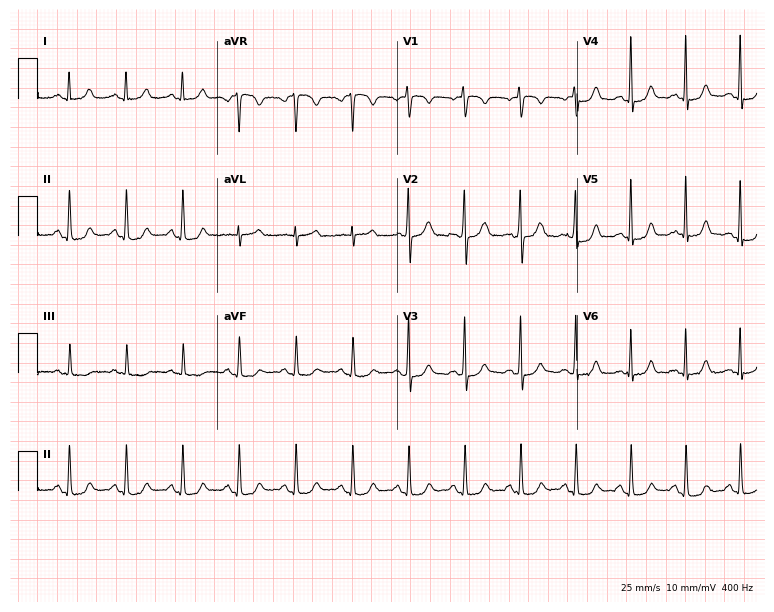
Resting 12-lead electrocardiogram (7.3-second recording at 400 Hz). Patient: a 35-year-old woman. Read as a normal ECG.